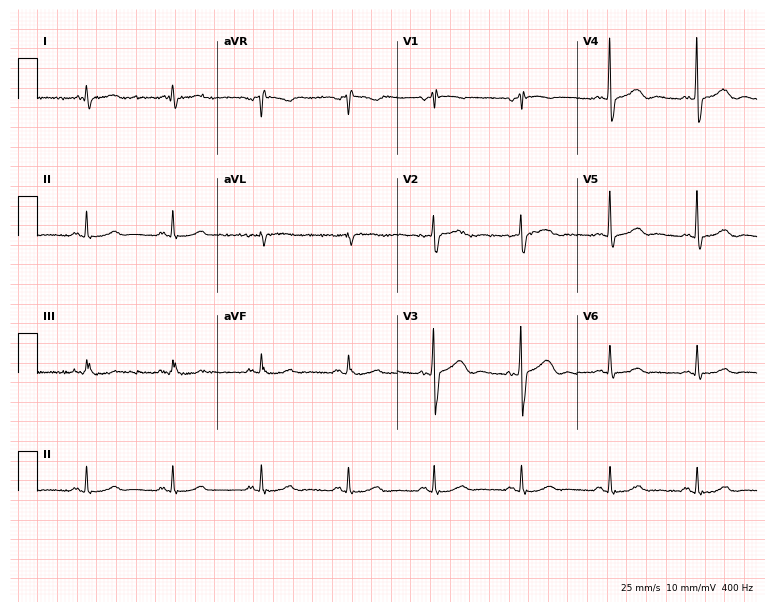
Standard 12-lead ECG recorded from a male, 78 years old. Read as a normal ECG.